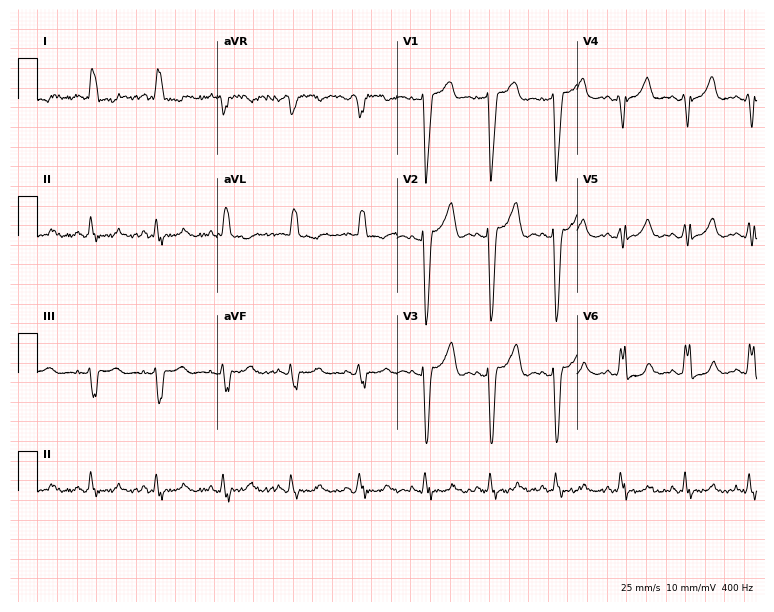
Resting 12-lead electrocardiogram (7.3-second recording at 400 Hz). Patient: a female, 44 years old. The tracing shows left bundle branch block.